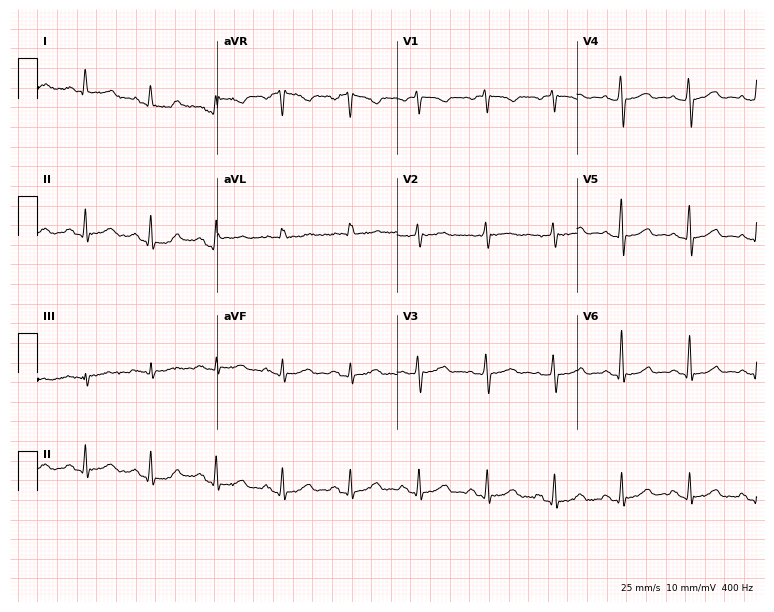
Standard 12-lead ECG recorded from a 55-year-old woman. None of these six findings is recorded: first-degree AV block, right bundle branch block (RBBB), left bundle branch block (LBBB), sinus bradycardia, atrial fibrillation (AF), sinus tachycardia.